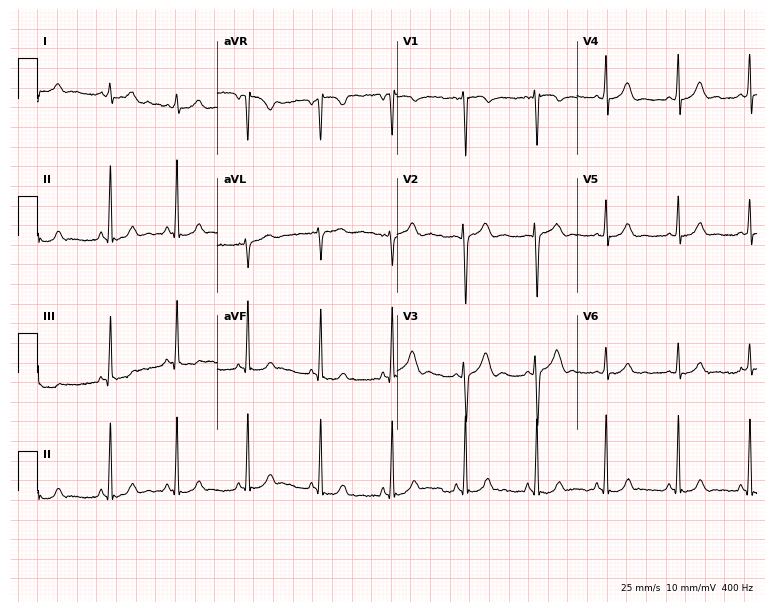
Standard 12-lead ECG recorded from a woman, 18 years old (7.3-second recording at 400 Hz). None of these six findings is recorded: first-degree AV block, right bundle branch block (RBBB), left bundle branch block (LBBB), sinus bradycardia, atrial fibrillation (AF), sinus tachycardia. Findings outside these six are not listed.